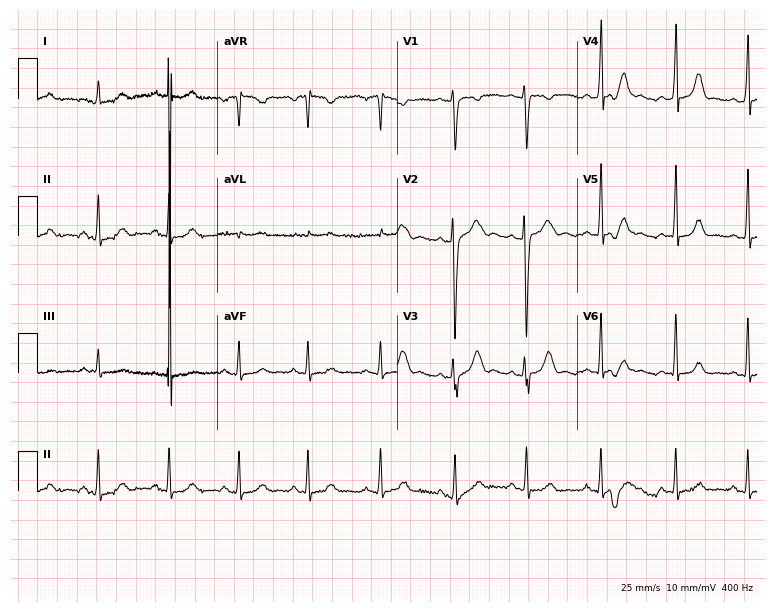
Electrocardiogram (7.3-second recording at 400 Hz), a 27-year-old female patient. Of the six screened findings (first-degree AV block, right bundle branch block, left bundle branch block, sinus bradycardia, atrial fibrillation, sinus tachycardia), none is recorded.